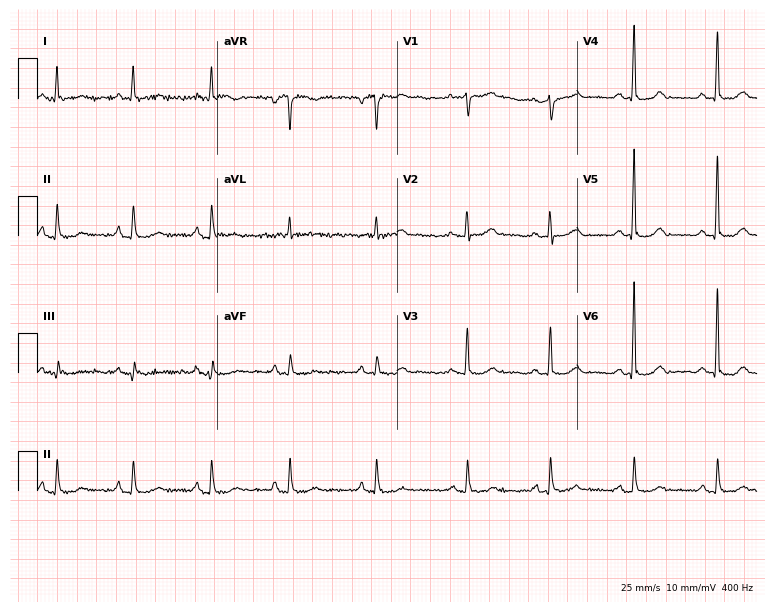
Standard 12-lead ECG recorded from a 59-year-old man. None of these six findings is recorded: first-degree AV block, right bundle branch block (RBBB), left bundle branch block (LBBB), sinus bradycardia, atrial fibrillation (AF), sinus tachycardia.